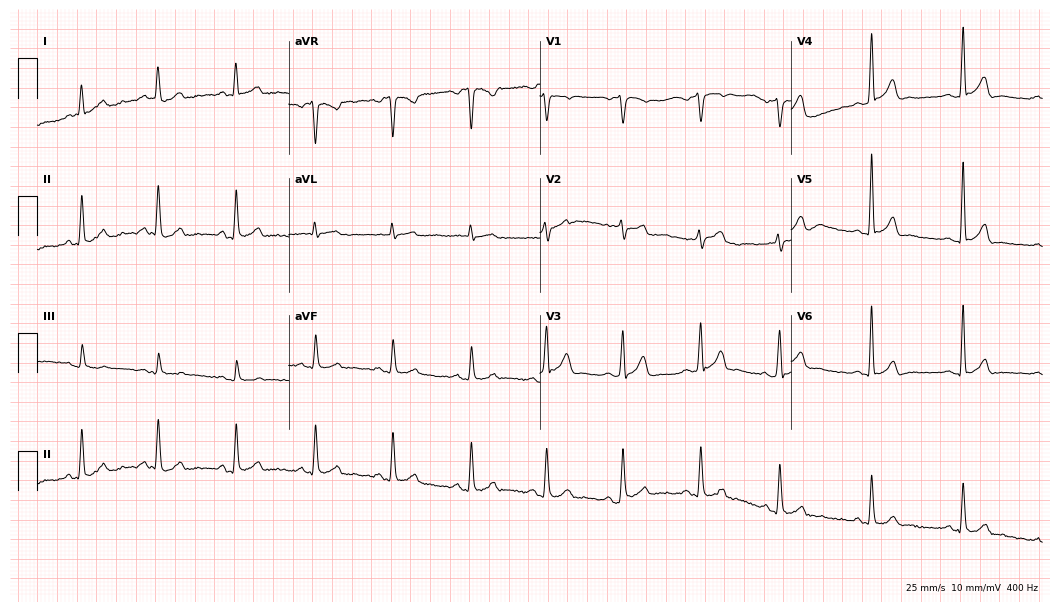
Resting 12-lead electrocardiogram (10.2-second recording at 400 Hz). Patient: a man, 61 years old. Read as a normal ECG.